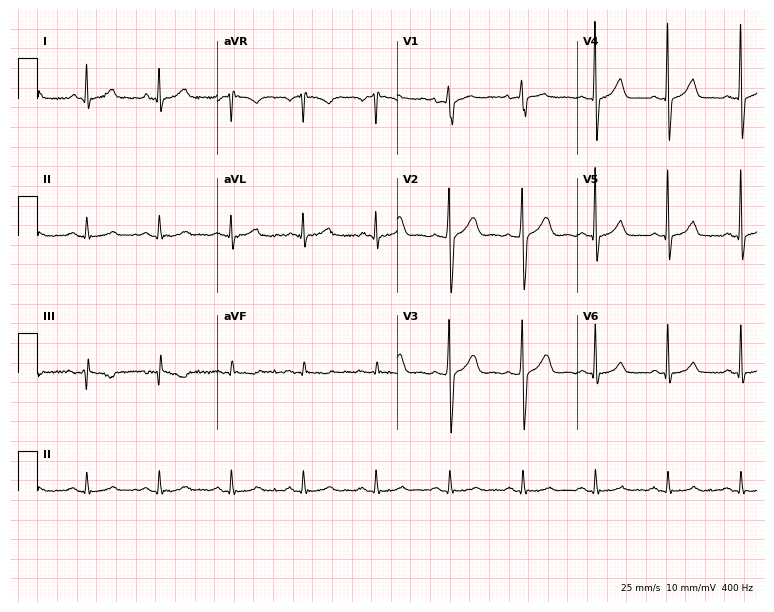
ECG — a 56-year-old male. Labelled as a normal ECG.